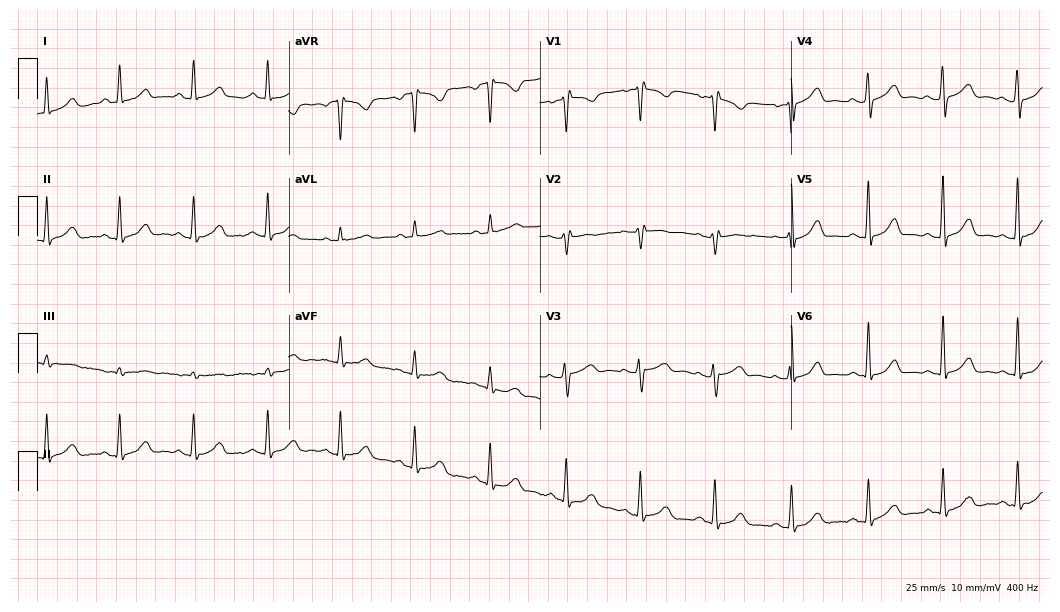
12-lead ECG from a 47-year-old female patient. No first-degree AV block, right bundle branch block, left bundle branch block, sinus bradycardia, atrial fibrillation or sinus tachycardia recorded for this tracing.